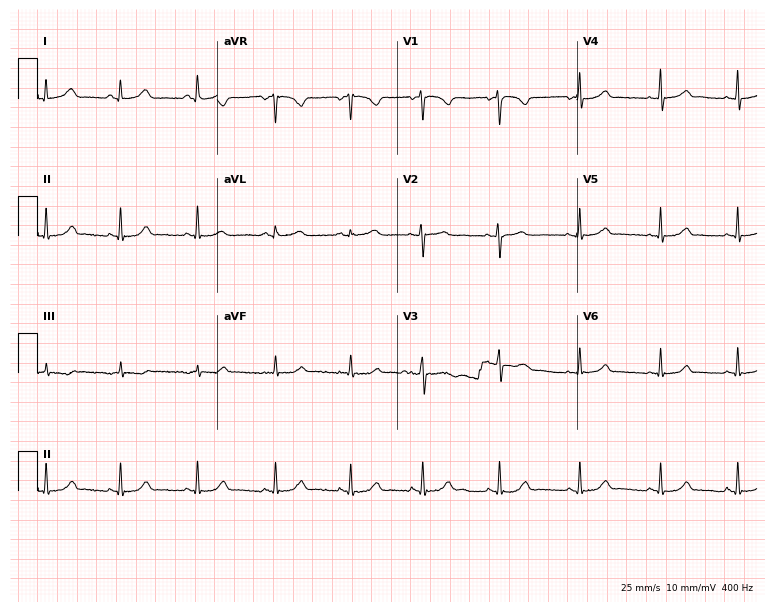
12-lead ECG from a female, 28 years old (7.3-second recording at 400 Hz). Recorded interpretation: within normal limits.